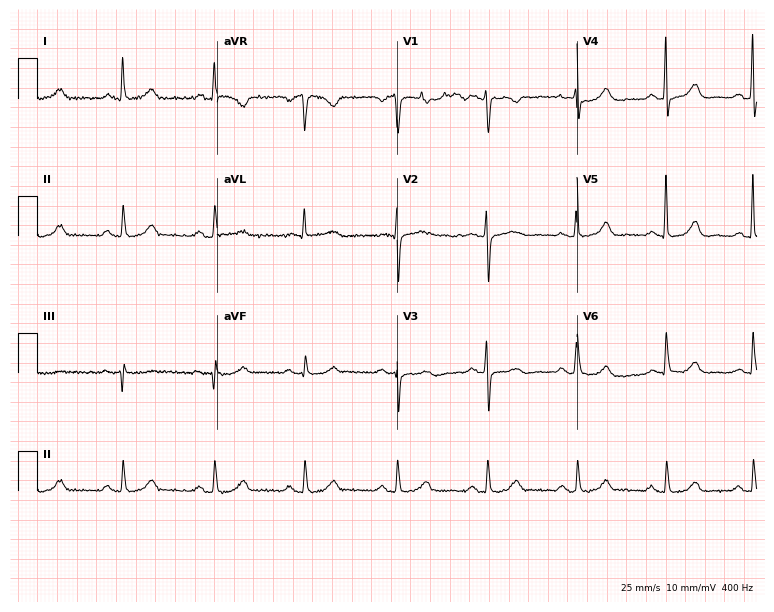
Resting 12-lead electrocardiogram (7.3-second recording at 400 Hz). Patient: a woman, 57 years old. None of these six findings is recorded: first-degree AV block, right bundle branch block, left bundle branch block, sinus bradycardia, atrial fibrillation, sinus tachycardia.